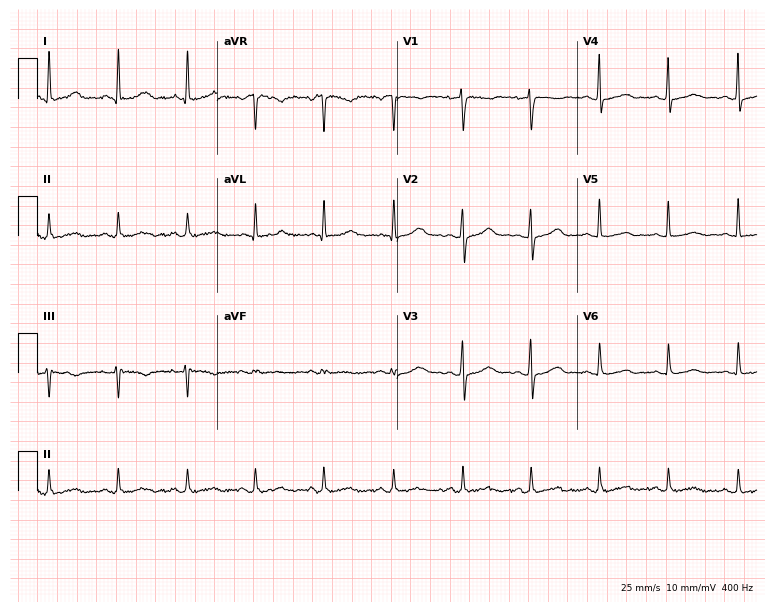
Standard 12-lead ECG recorded from a woman, 41 years old. None of these six findings is recorded: first-degree AV block, right bundle branch block, left bundle branch block, sinus bradycardia, atrial fibrillation, sinus tachycardia. Only these six findings were labelled.